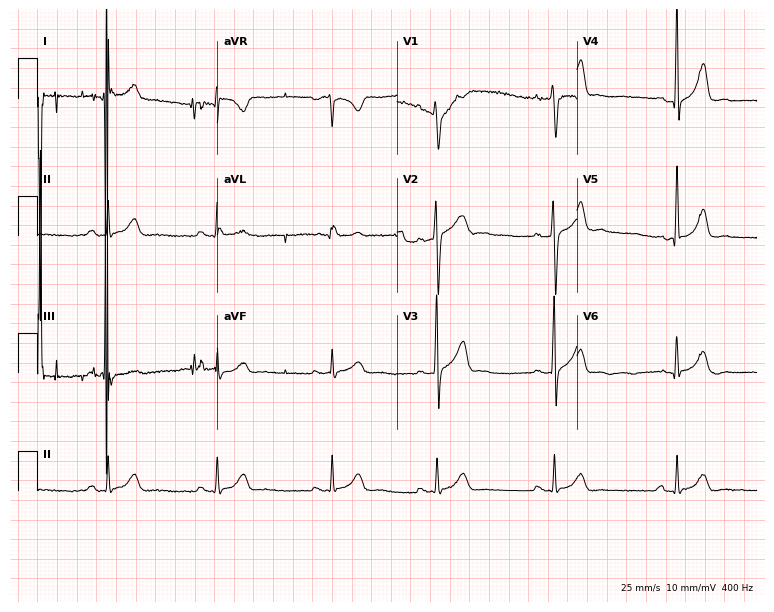
Standard 12-lead ECG recorded from a man, 30 years old. None of these six findings is recorded: first-degree AV block, right bundle branch block, left bundle branch block, sinus bradycardia, atrial fibrillation, sinus tachycardia. Findings outside these six are not listed.